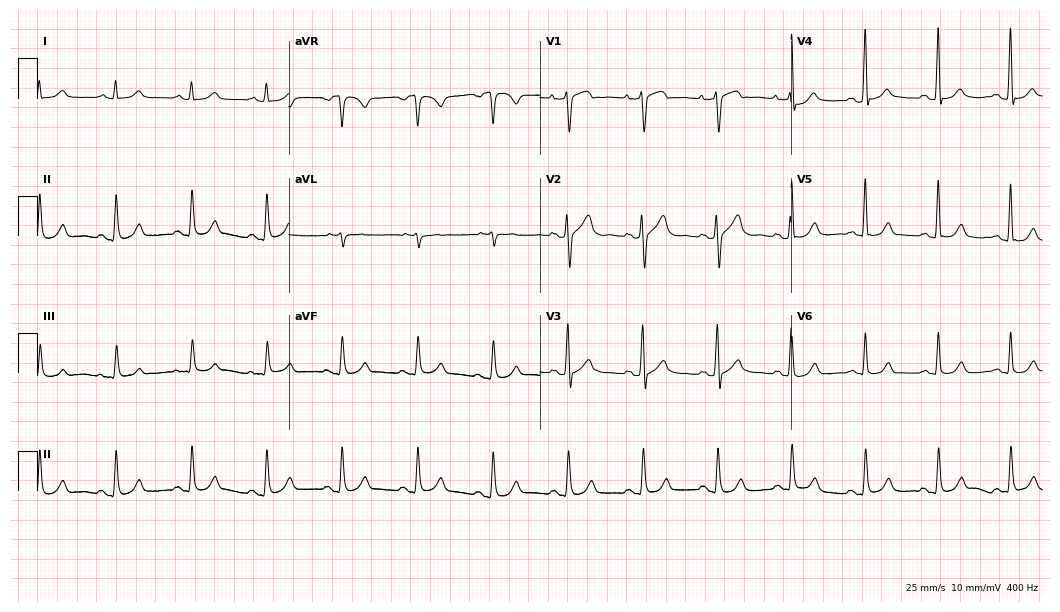
Electrocardiogram (10.2-second recording at 400 Hz), a male patient, 58 years old. Of the six screened findings (first-degree AV block, right bundle branch block, left bundle branch block, sinus bradycardia, atrial fibrillation, sinus tachycardia), none is recorded. Only these six findings were labelled.